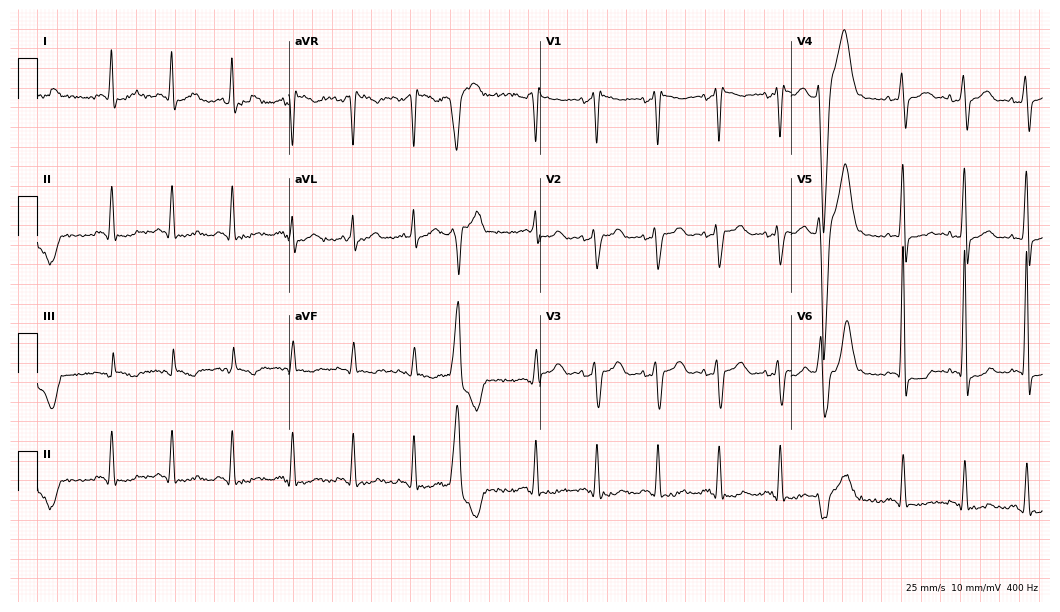
12-lead ECG (10.2-second recording at 400 Hz) from a male patient, 70 years old. Screened for six findings — first-degree AV block, right bundle branch block (RBBB), left bundle branch block (LBBB), sinus bradycardia, atrial fibrillation (AF), sinus tachycardia — none is recorded. Only these six findings were labelled.